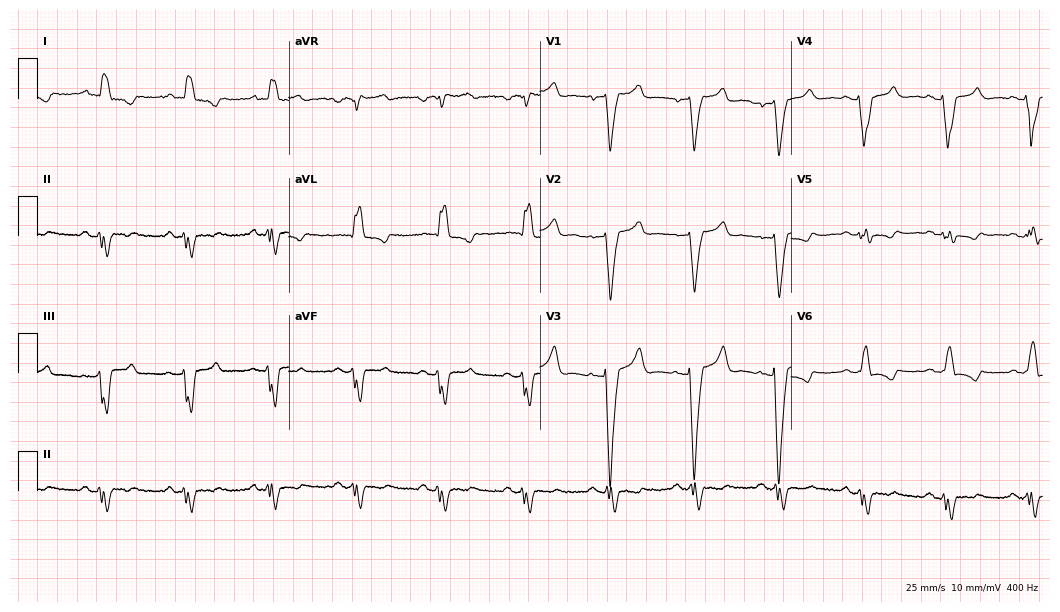
Electrocardiogram (10.2-second recording at 400 Hz), a female, 72 years old. Of the six screened findings (first-degree AV block, right bundle branch block, left bundle branch block, sinus bradycardia, atrial fibrillation, sinus tachycardia), none is recorded. Other findings, if any, are not listed.